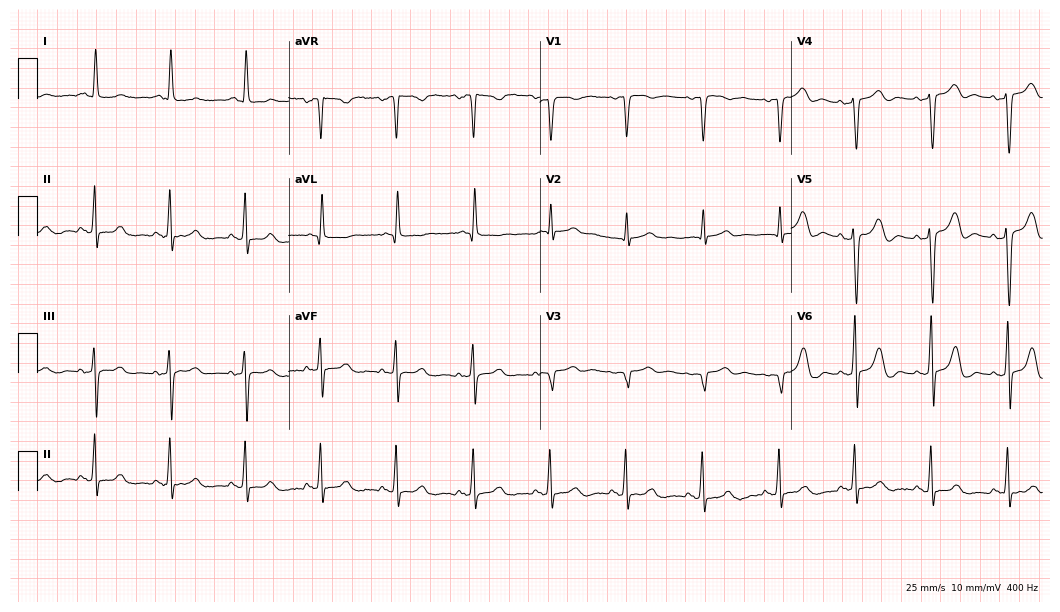
12-lead ECG from a 64-year-old female. No first-degree AV block, right bundle branch block (RBBB), left bundle branch block (LBBB), sinus bradycardia, atrial fibrillation (AF) or sinus tachycardia recorded for this tracing. Other findings, if any, are not listed.